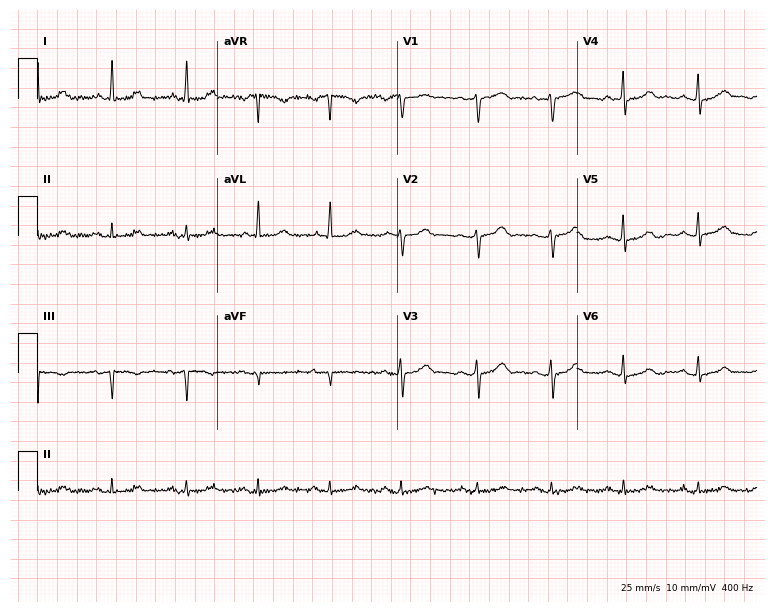
Electrocardiogram, a woman, 53 years old. Overall reading on record: normal ECG.